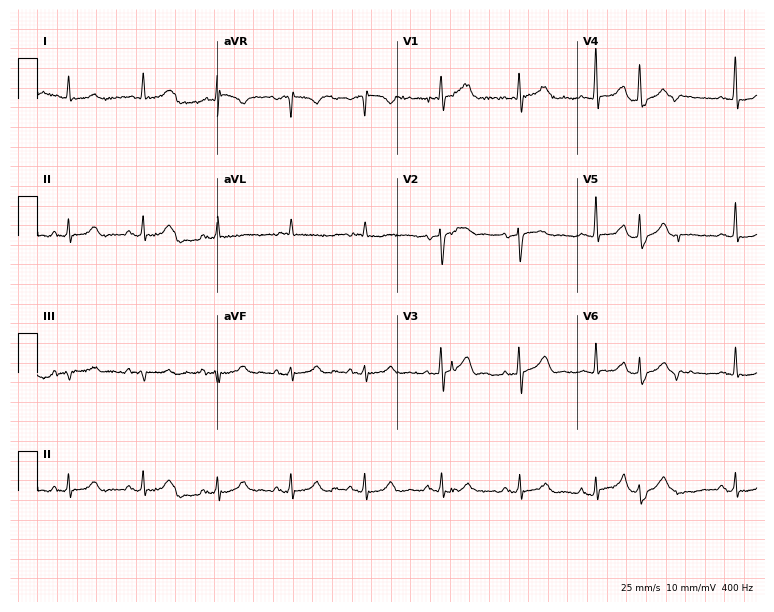
12-lead ECG from a 78-year-old man (7.3-second recording at 400 Hz). Recorded interpretation: within normal limits.